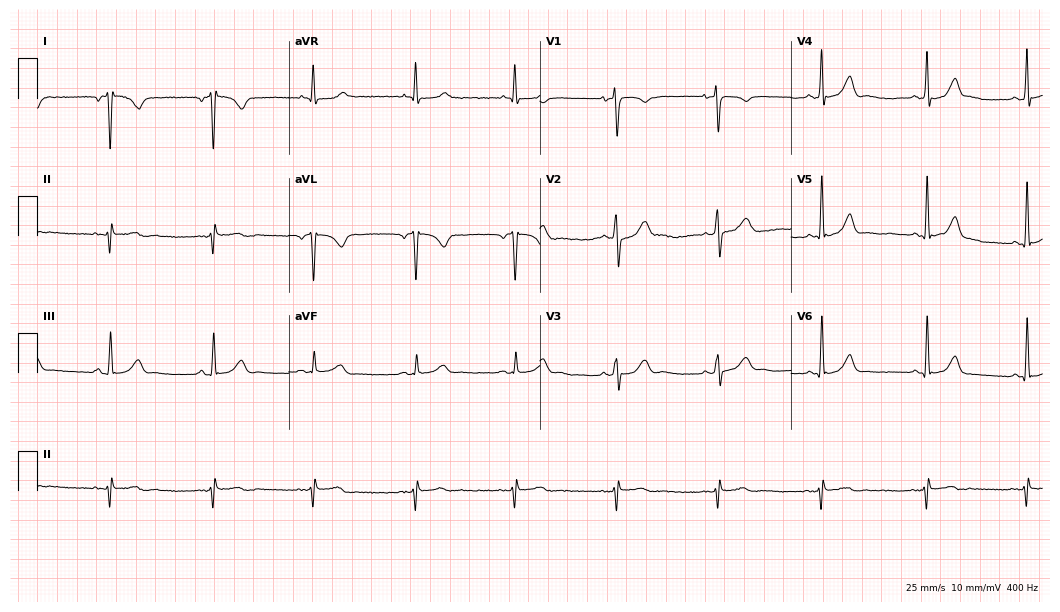
Standard 12-lead ECG recorded from a 34-year-old female (10.2-second recording at 400 Hz). None of these six findings is recorded: first-degree AV block, right bundle branch block (RBBB), left bundle branch block (LBBB), sinus bradycardia, atrial fibrillation (AF), sinus tachycardia. Only these six findings were labelled.